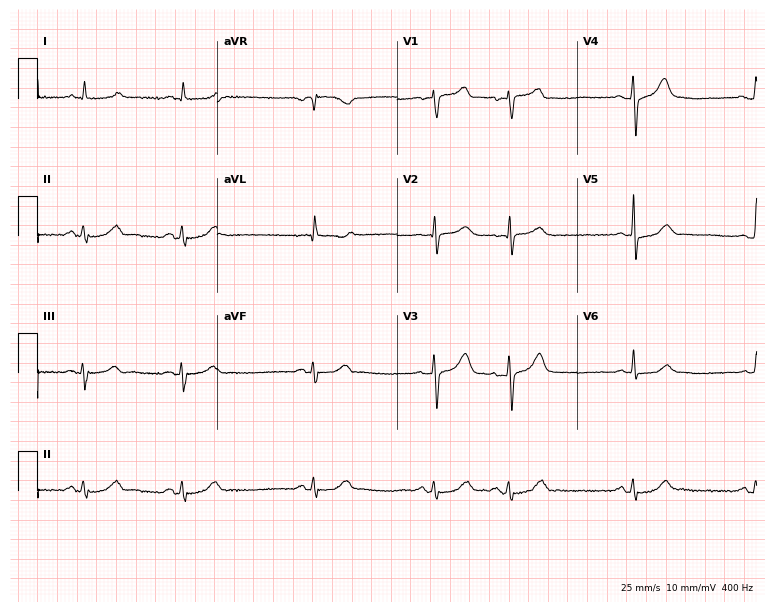
Standard 12-lead ECG recorded from a man, 72 years old. None of these six findings is recorded: first-degree AV block, right bundle branch block, left bundle branch block, sinus bradycardia, atrial fibrillation, sinus tachycardia.